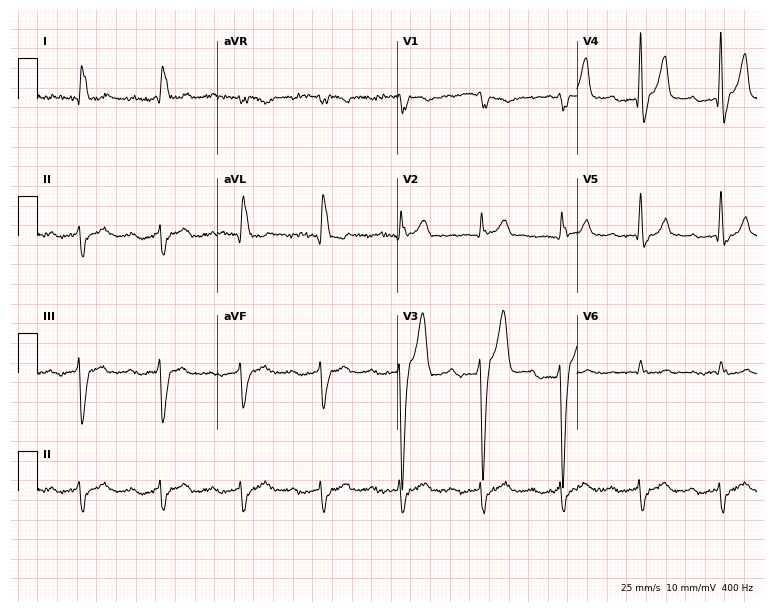
12-lead ECG (7.3-second recording at 400 Hz) from a woman, 84 years old. Screened for six findings — first-degree AV block, right bundle branch block, left bundle branch block, sinus bradycardia, atrial fibrillation, sinus tachycardia — none is recorded. Findings outside these six are not listed.